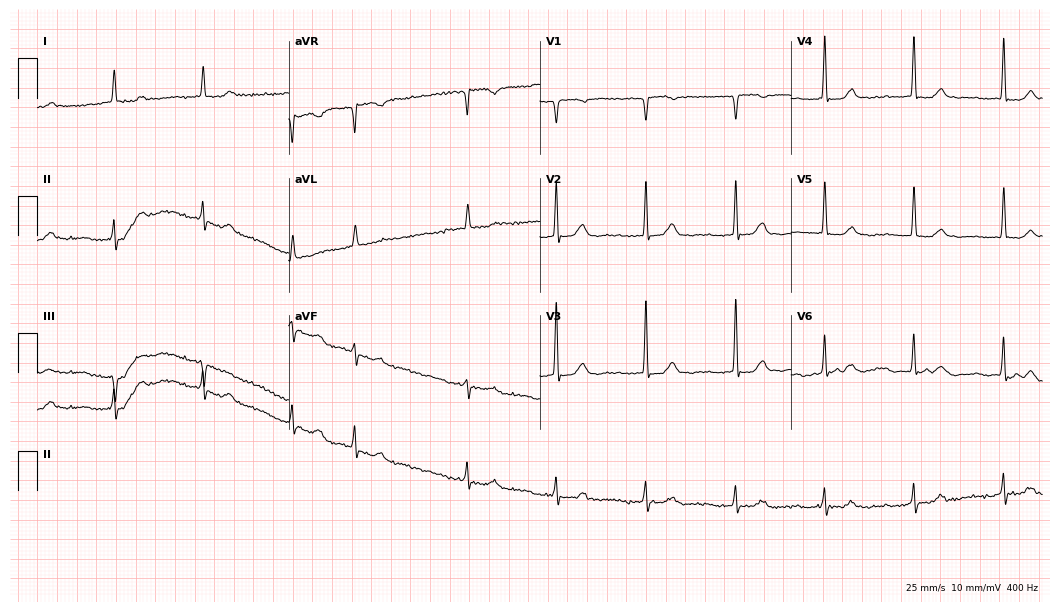
ECG (10.2-second recording at 400 Hz) — a woman, 89 years old. Findings include first-degree AV block, atrial fibrillation.